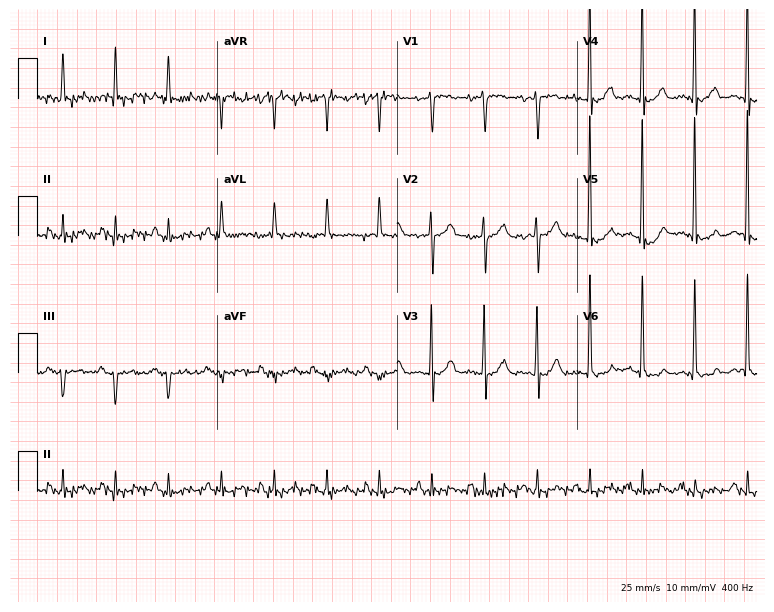
ECG (7.3-second recording at 400 Hz) — an 81-year-old female patient. Findings include sinus tachycardia (a sinus rate of 100 beats per minute or more).